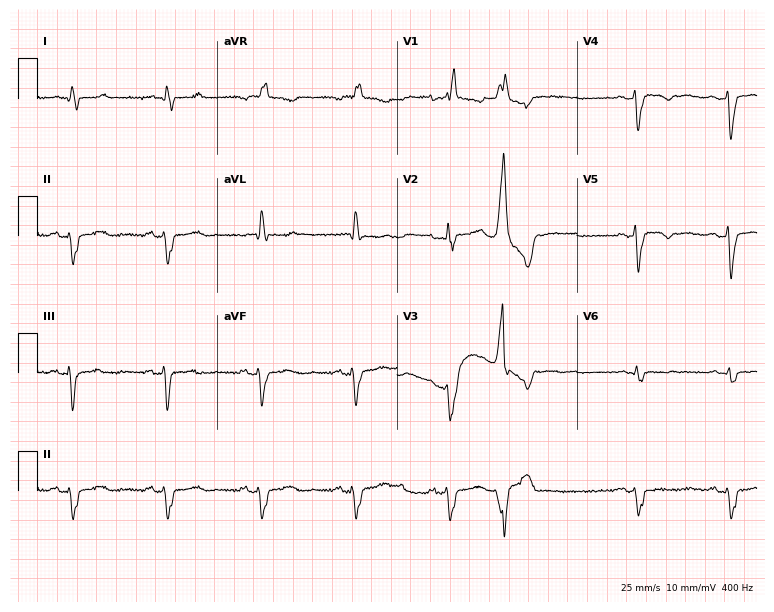
ECG — a male, 36 years old. Screened for six findings — first-degree AV block, right bundle branch block (RBBB), left bundle branch block (LBBB), sinus bradycardia, atrial fibrillation (AF), sinus tachycardia — none is recorded.